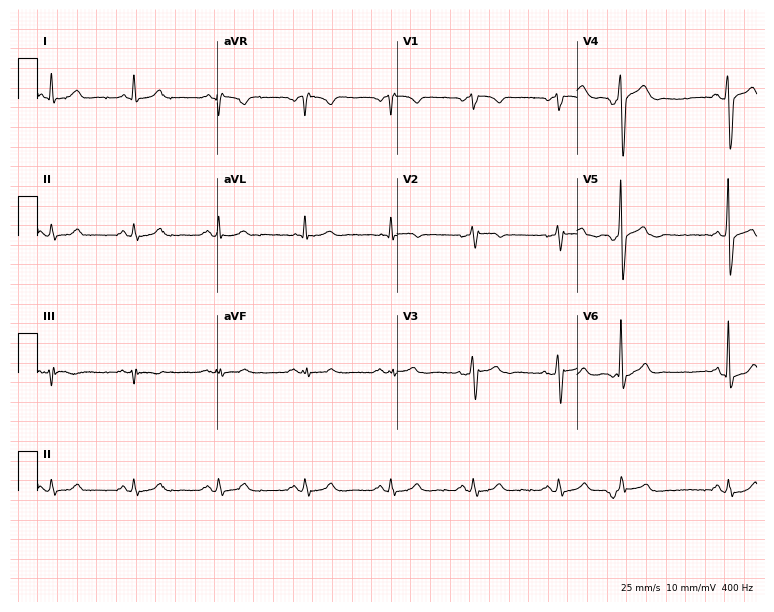
12-lead ECG from a 64-year-old male patient. Labelled as a normal ECG.